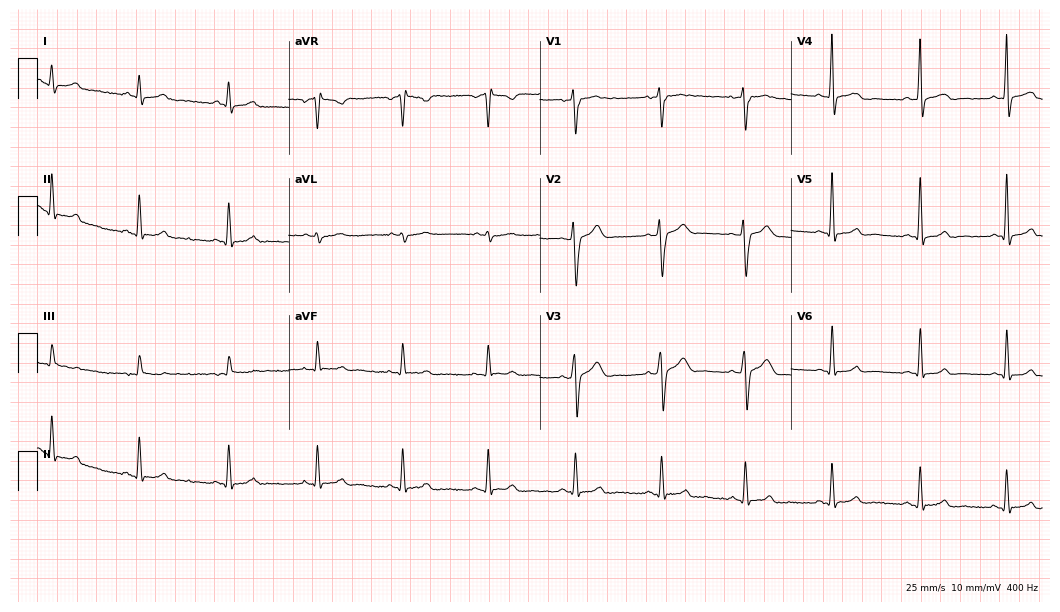
Electrocardiogram (10.2-second recording at 400 Hz), a man, 27 years old. Of the six screened findings (first-degree AV block, right bundle branch block, left bundle branch block, sinus bradycardia, atrial fibrillation, sinus tachycardia), none is recorded. Findings outside these six are not listed.